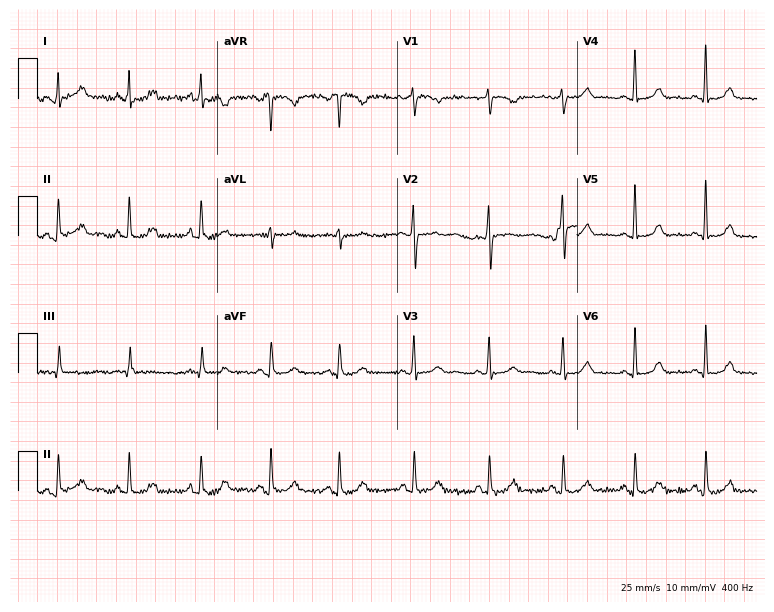
Resting 12-lead electrocardiogram. Patient: a female, 28 years old. Read as a normal ECG.